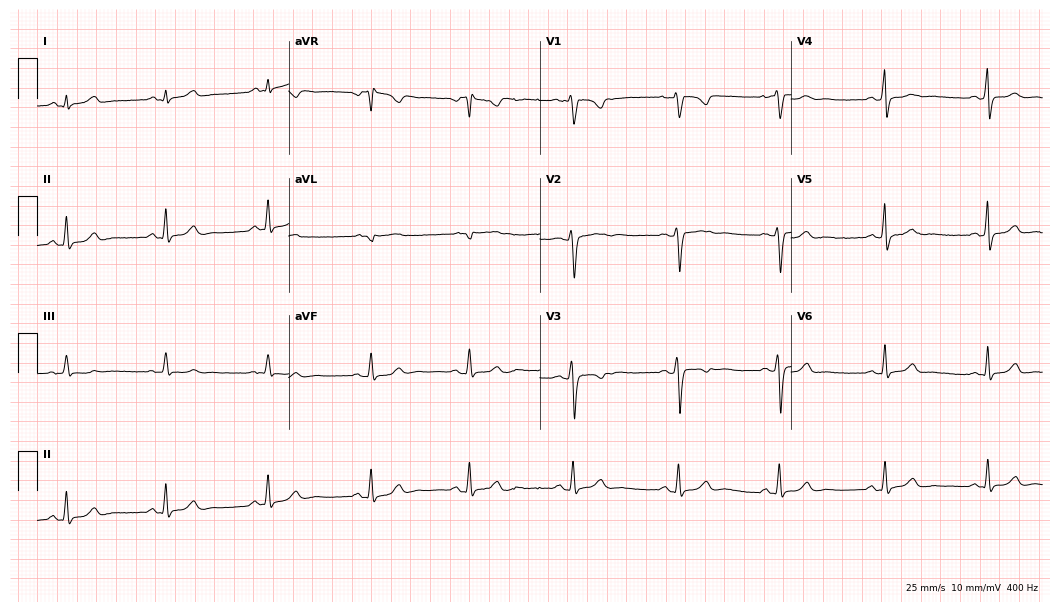
12-lead ECG from a female patient, 28 years old (10.2-second recording at 400 Hz). No first-degree AV block, right bundle branch block, left bundle branch block, sinus bradycardia, atrial fibrillation or sinus tachycardia recorded for this tracing.